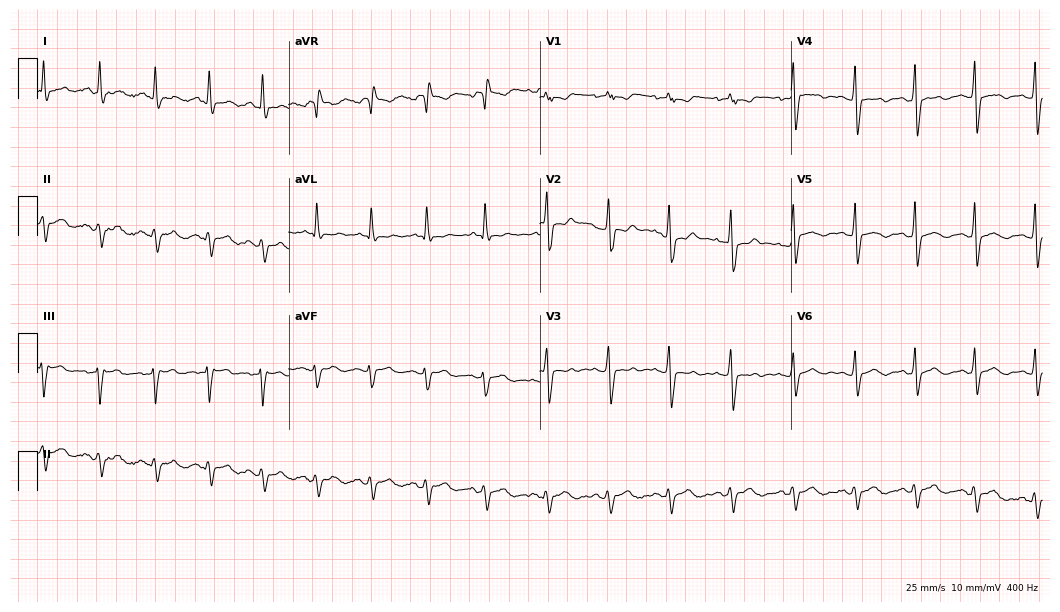
12-lead ECG from a male patient, 38 years old (10.2-second recording at 400 Hz). Shows sinus tachycardia (a sinus rate of 100 beats per minute or more).